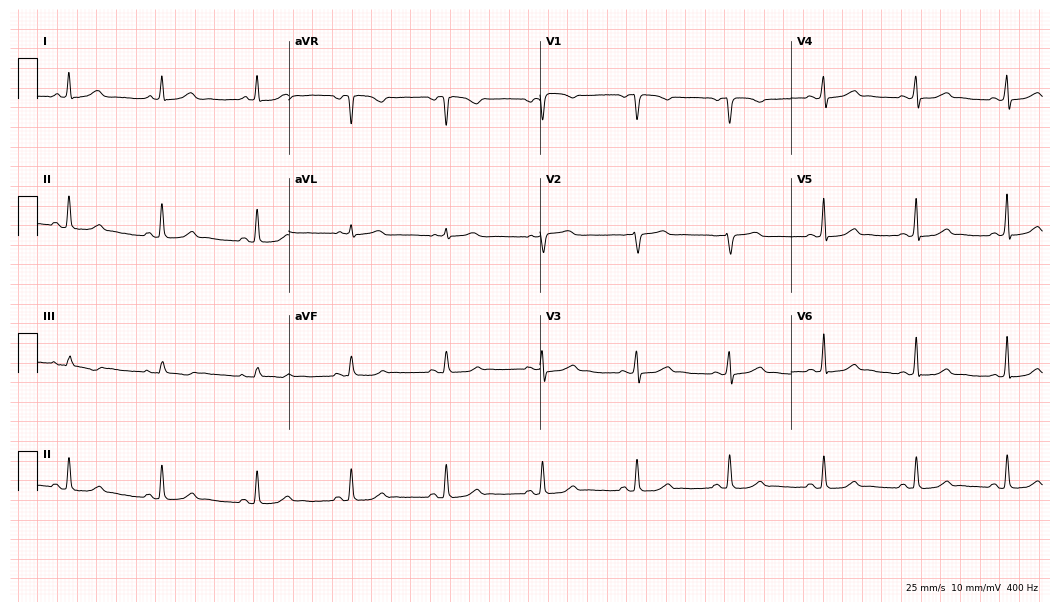
Electrocardiogram, a female, 54 years old. Overall reading on record: normal ECG.